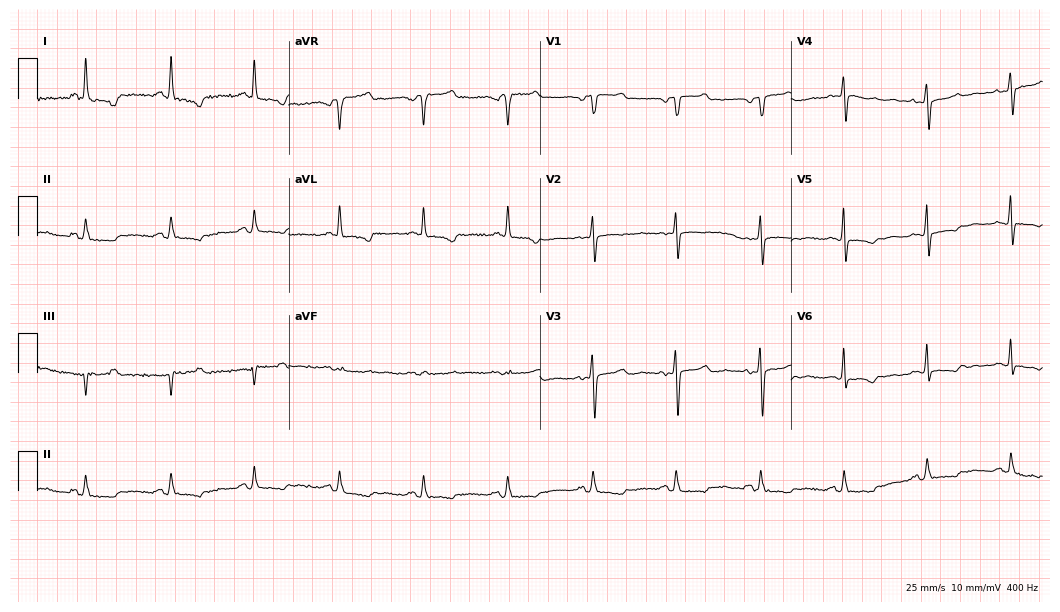
ECG — a 59-year-old woman. Screened for six findings — first-degree AV block, right bundle branch block, left bundle branch block, sinus bradycardia, atrial fibrillation, sinus tachycardia — none is recorded. Only these six findings were labelled.